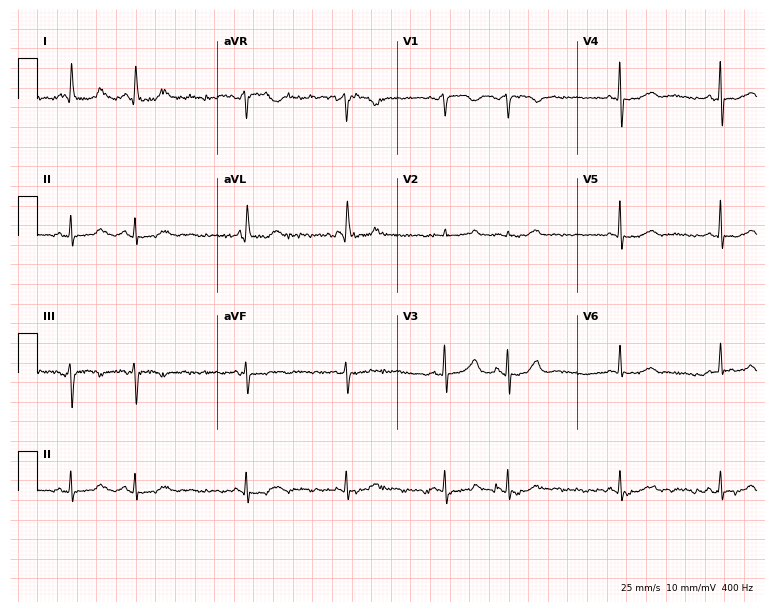
Standard 12-lead ECG recorded from a woman, 83 years old. None of these six findings is recorded: first-degree AV block, right bundle branch block, left bundle branch block, sinus bradycardia, atrial fibrillation, sinus tachycardia. Other findings, if any, are not listed.